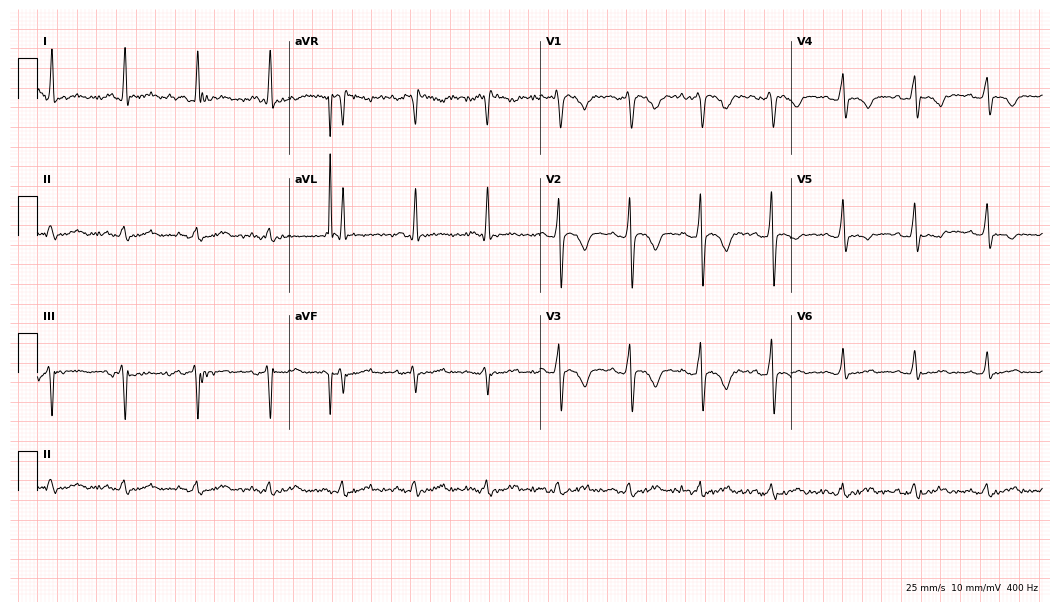
ECG (10.2-second recording at 400 Hz) — a 37-year-old male. Screened for six findings — first-degree AV block, right bundle branch block, left bundle branch block, sinus bradycardia, atrial fibrillation, sinus tachycardia — none is recorded.